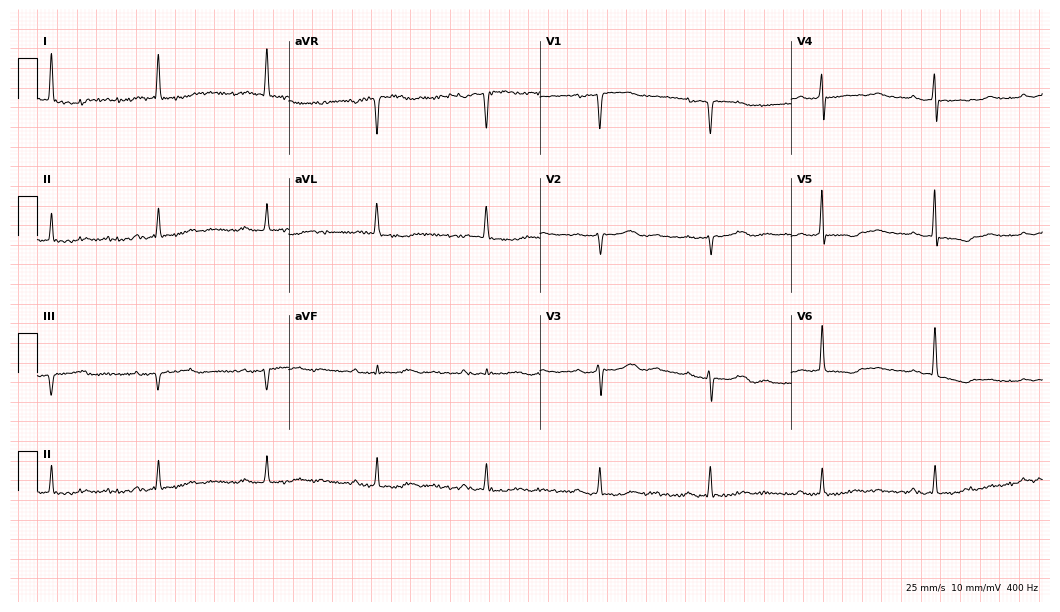
Resting 12-lead electrocardiogram (10.2-second recording at 400 Hz). Patient: a female, 65 years old. None of these six findings is recorded: first-degree AV block, right bundle branch block, left bundle branch block, sinus bradycardia, atrial fibrillation, sinus tachycardia.